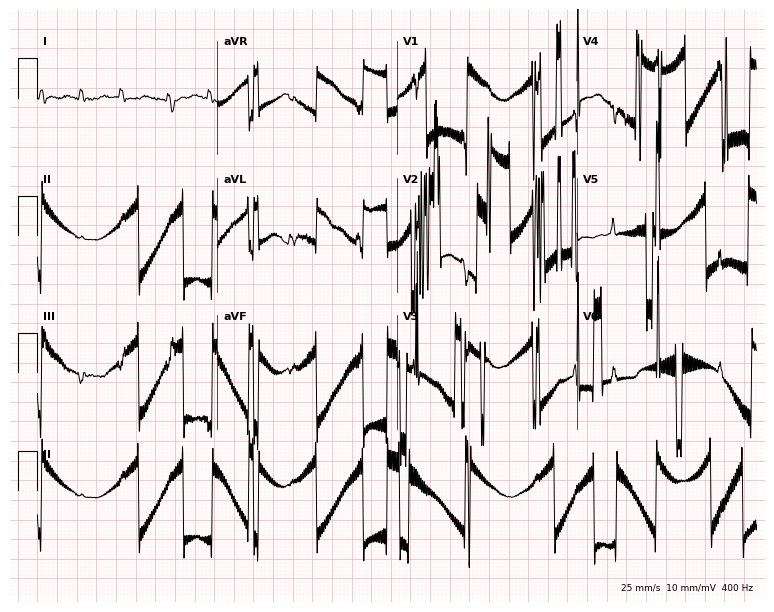
Electrocardiogram (7.3-second recording at 400 Hz), a 75-year-old female. Of the six screened findings (first-degree AV block, right bundle branch block (RBBB), left bundle branch block (LBBB), sinus bradycardia, atrial fibrillation (AF), sinus tachycardia), none is recorded. Only these six findings were labelled.